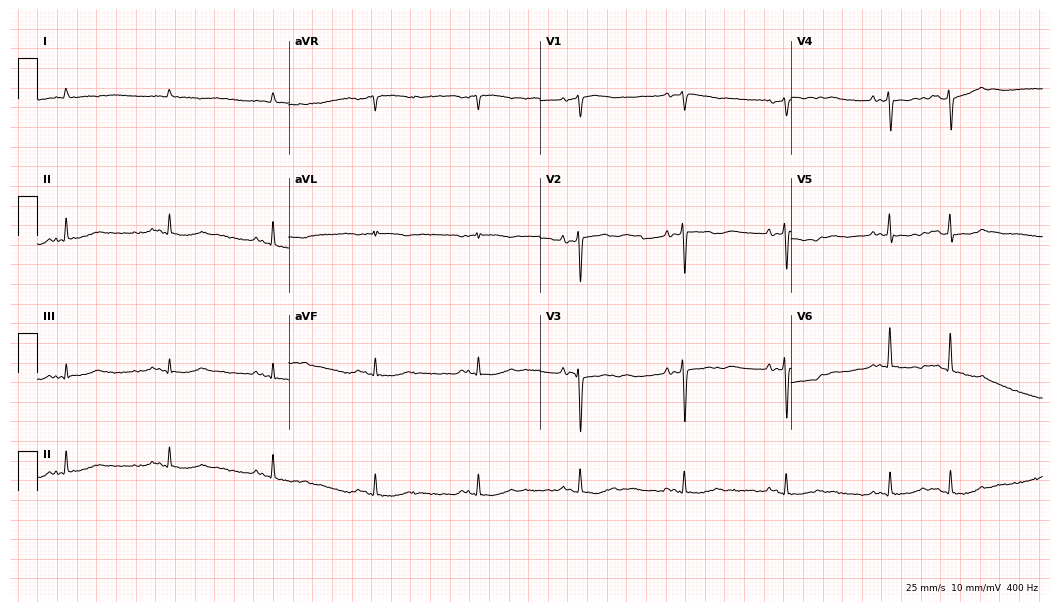
Electrocardiogram (10.2-second recording at 400 Hz), a male patient, 83 years old. Of the six screened findings (first-degree AV block, right bundle branch block, left bundle branch block, sinus bradycardia, atrial fibrillation, sinus tachycardia), none is recorded. Findings outside these six are not listed.